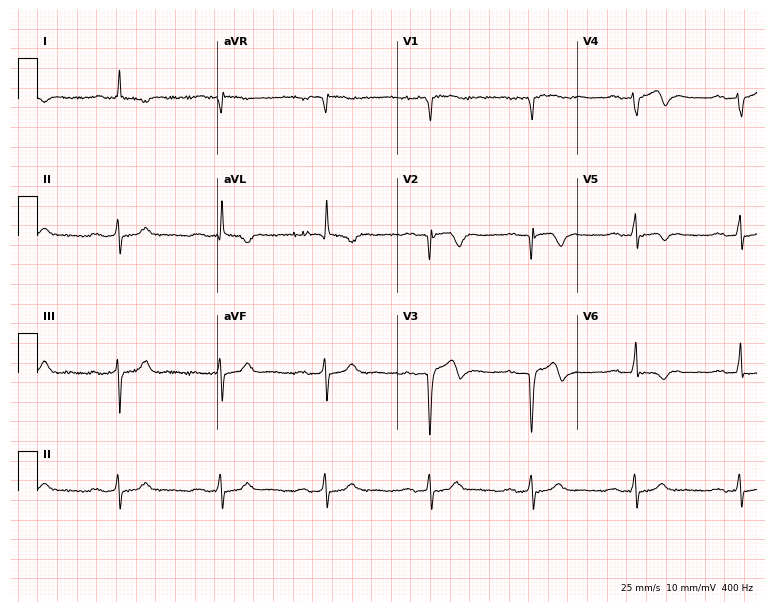
12-lead ECG from a male patient, 61 years old. Findings include first-degree AV block.